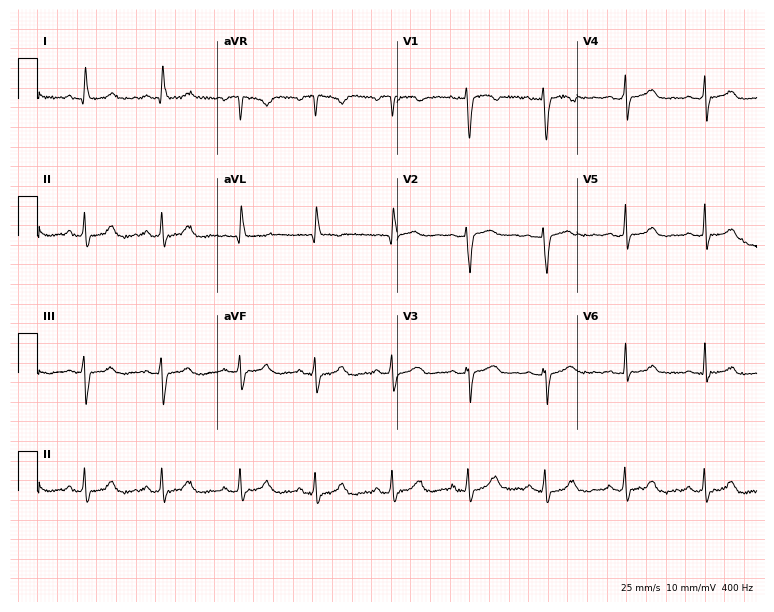
Resting 12-lead electrocardiogram. Patient: a 53-year-old female. None of these six findings is recorded: first-degree AV block, right bundle branch block, left bundle branch block, sinus bradycardia, atrial fibrillation, sinus tachycardia.